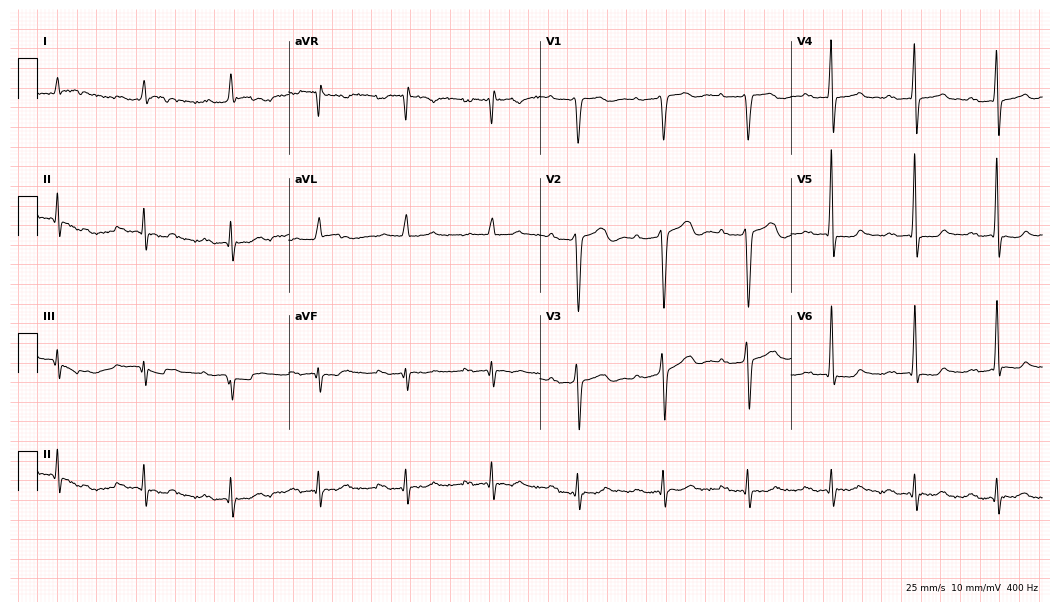
Electrocardiogram (10.2-second recording at 400 Hz), a 70-year-old man. Of the six screened findings (first-degree AV block, right bundle branch block (RBBB), left bundle branch block (LBBB), sinus bradycardia, atrial fibrillation (AF), sinus tachycardia), none is recorded.